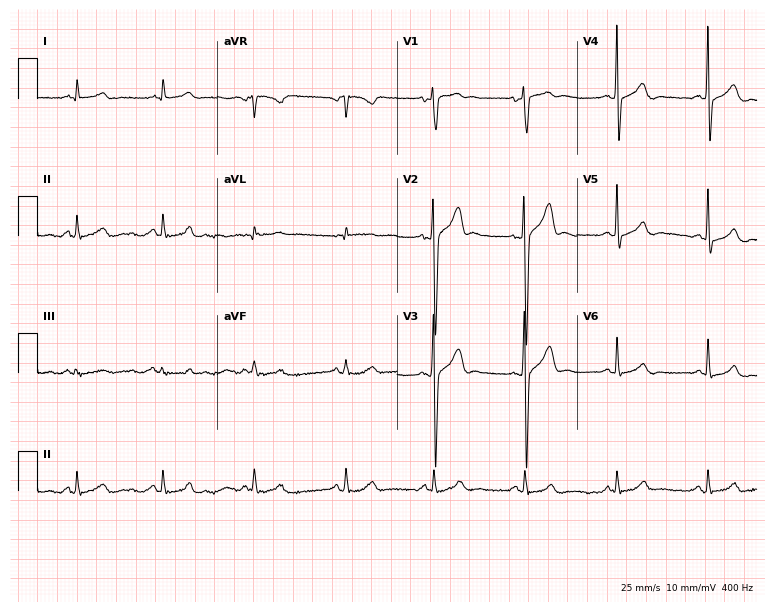
Resting 12-lead electrocardiogram. Patient: a male, 42 years old. None of these six findings is recorded: first-degree AV block, right bundle branch block, left bundle branch block, sinus bradycardia, atrial fibrillation, sinus tachycardia.